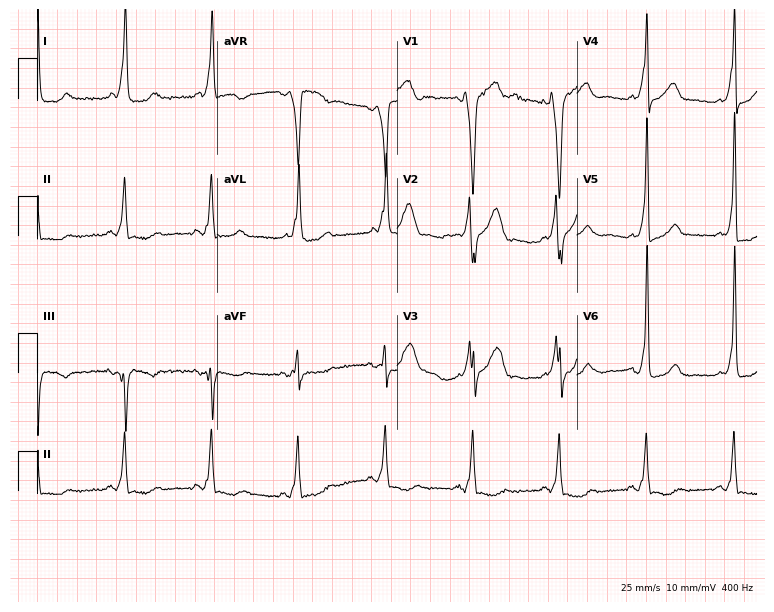
ECG — a 47-year-old man. Screened for six findings — first-degree AV block, right bundle branch block (RBBB), left bundle branch block (LBBB), sinus bradycardia, atrial fibrillation (AF), sinus tachycardia — none is recorded. Other findings, if any, are not listed.